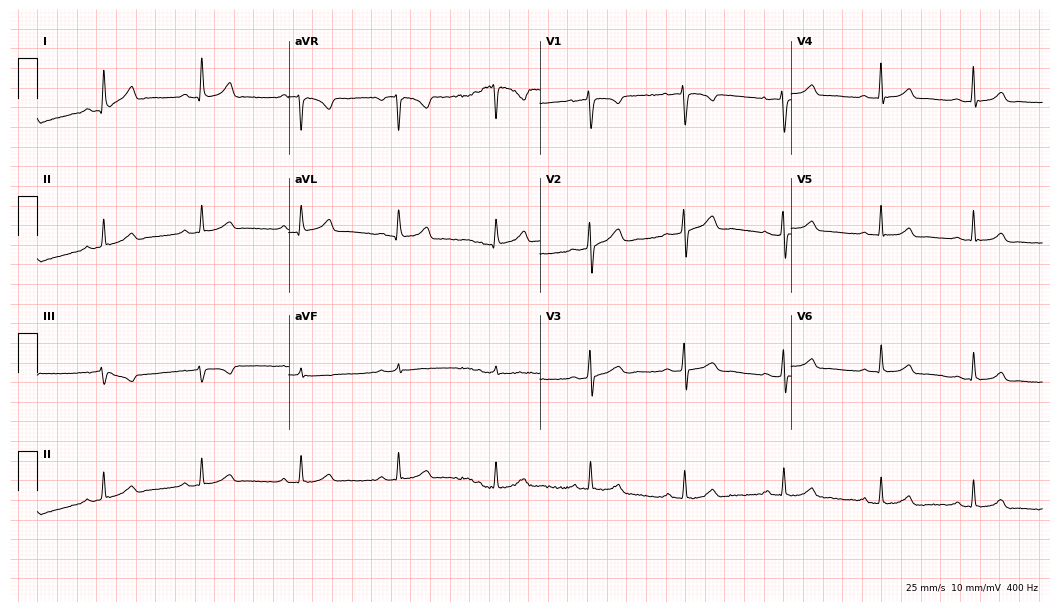
Electrocardiogram (10.2-second recording at 400 Hz), a female, 39 years old. Overall reading on record: normal ECG.